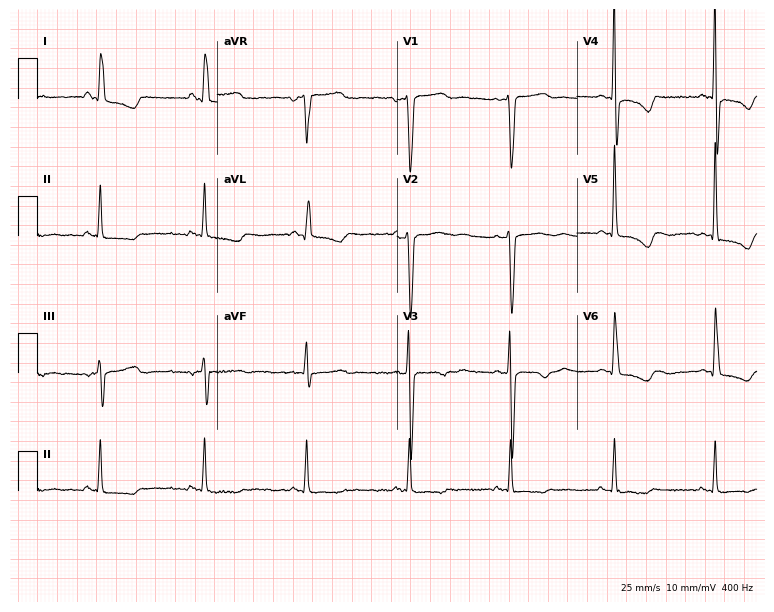
12-lead ECG from a 51-year-old female patient (7.3-second recording at 400 Hz). No first-degree AV block, right bundle branch block, left bundle branch block, sinus bradycardia, atrial fibrillation or sinus tachycardia recorded for this tracing.